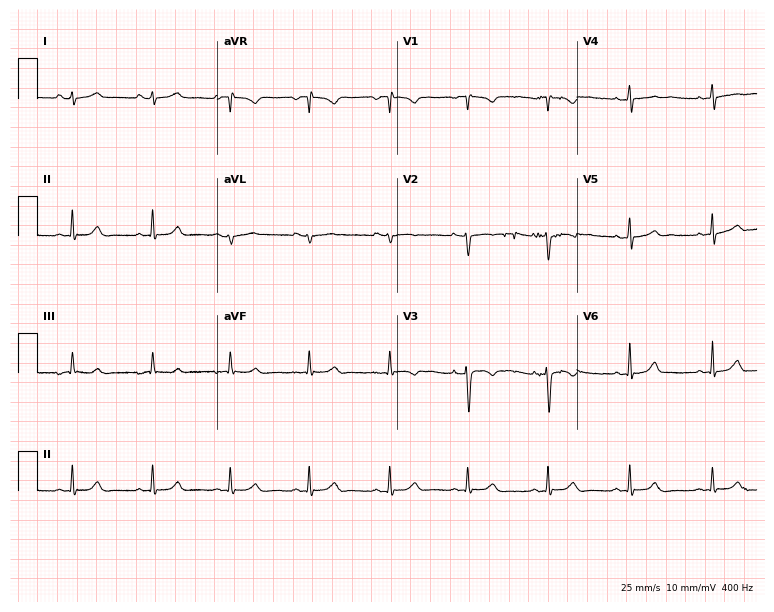
ECG (7.3-second recording at 400 Hz) — a female, 18 years old. Labelled as a normal ECG.